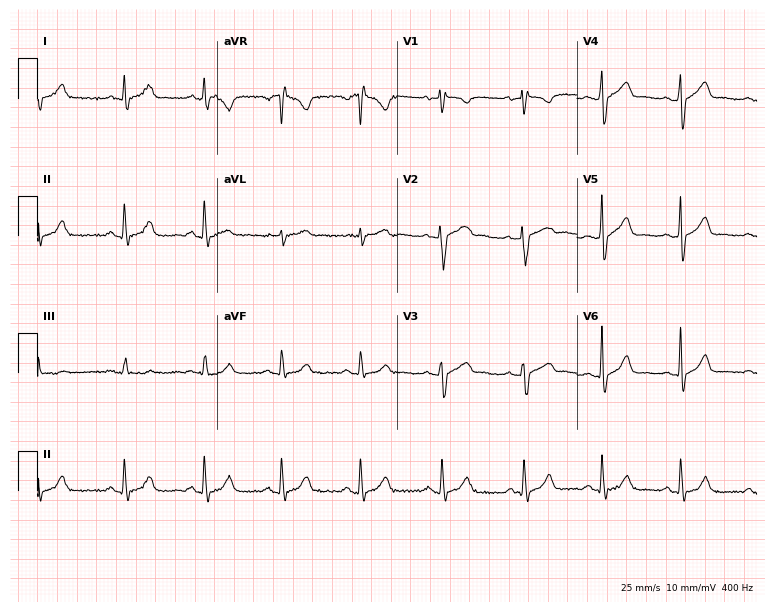
Resting 12-lead electrocardiogram. Patient: a male, 38 years old. None of these six findings is recorded: first-degree AV block, right bundle branch block, left bundle branch block, sinus bradycardia, atrial fibrillation, sinus tachycardia. Only these six findings were labelled.